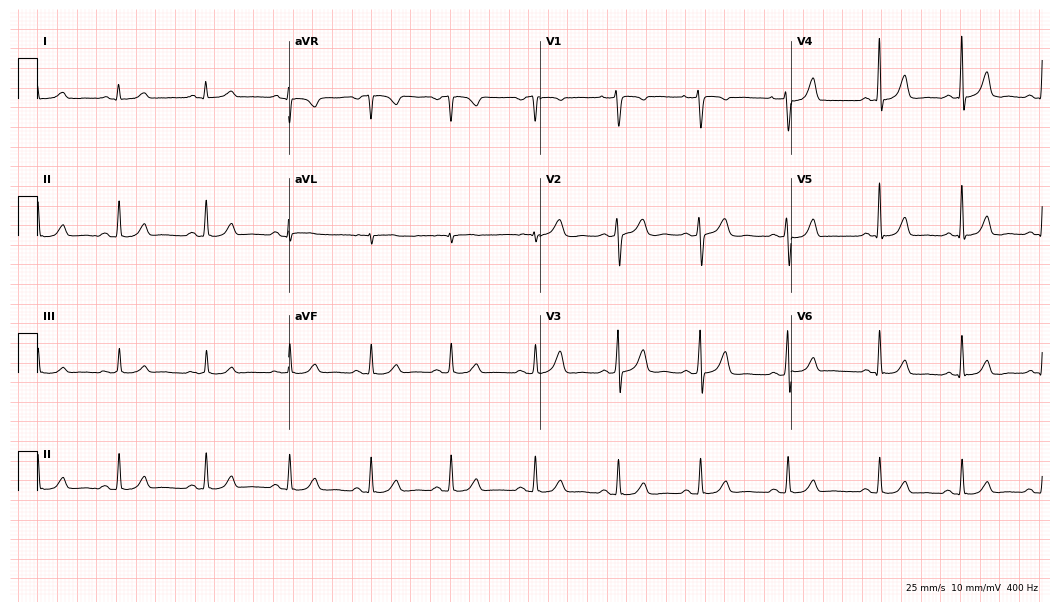
12-lead ECG from a 32-year-old woman. No first-degree AV block, right bundle branch block (RBBB), left bundle branch block (LBBB), sinus bradycardia, atrial fibrillation (AF) or sinus tachycardia recorded for this tracing.